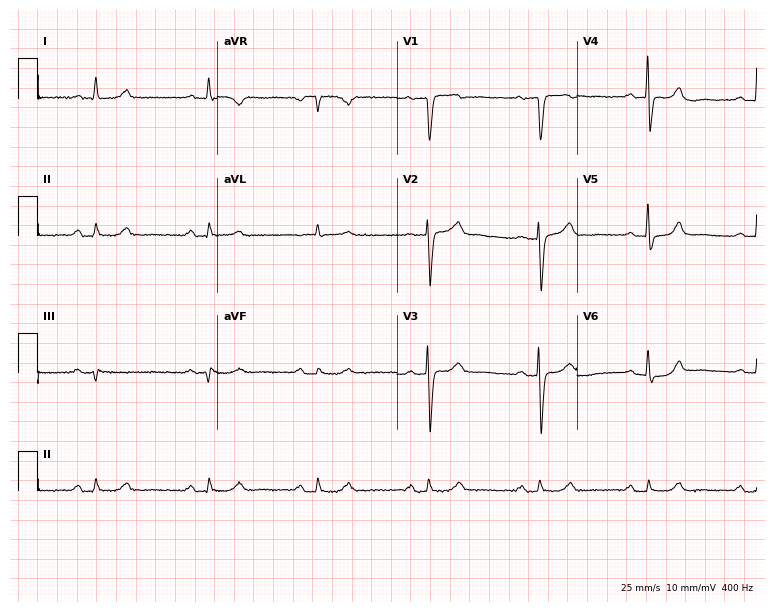
ECG (7.3-second recording at 400 Hz) — a 64-year-old male. Findings include first-degree AV block.